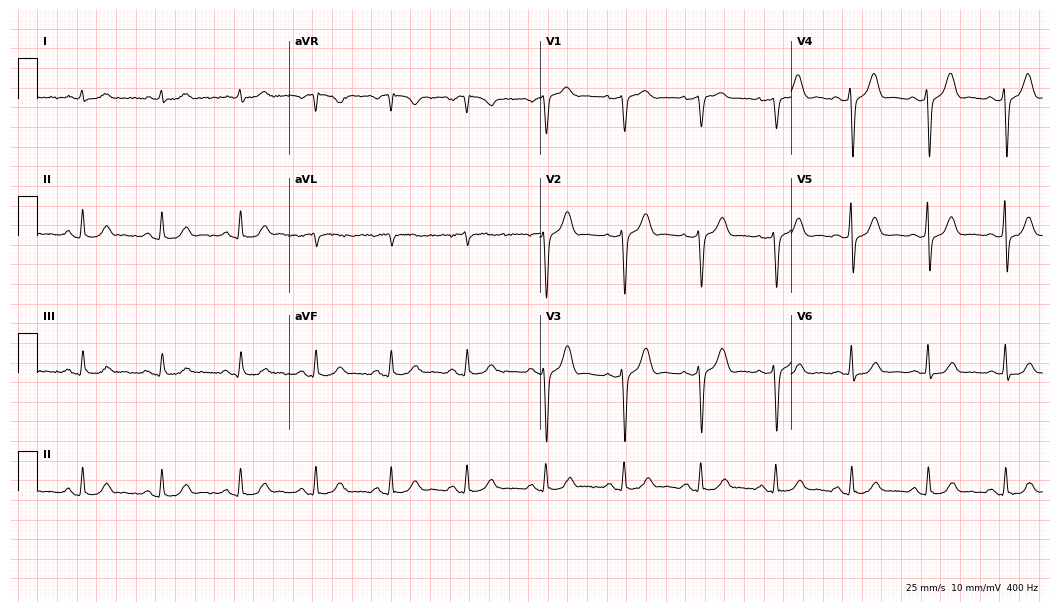
12-lead ECG from a 62-year-old male. No first-degree AV block, right bundle branch block, left bundle branch block, sinus bradycardia, atrial fibrillation or sinus tachycardia recorded for this tracing. Only these six findings were labelled.